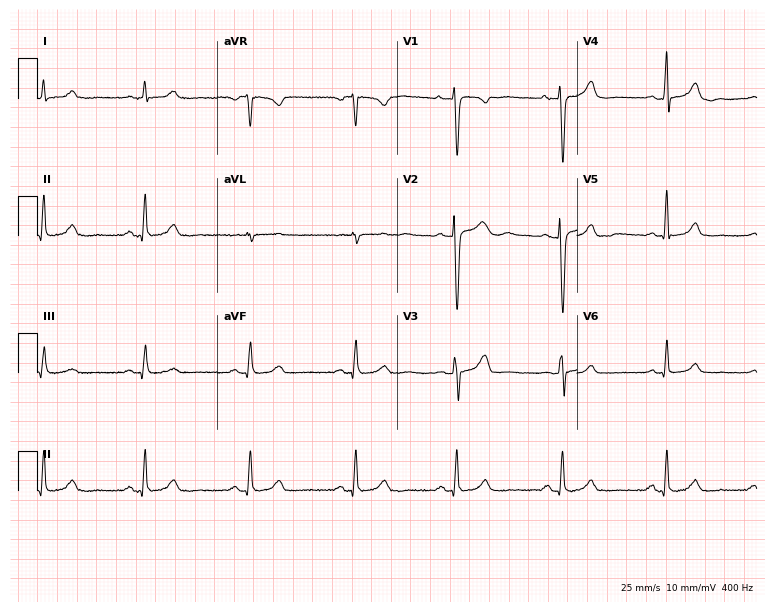
Resting 12-lead electrocardiogram. Patient: a 32-year-old female. None of these six findings is recorded: first-degree AV block, right bundle branch block, left bundle branch block, sinus bradycardia, atrial fibrillation, sinus tachycardia. Other findings, if any, are not listed.